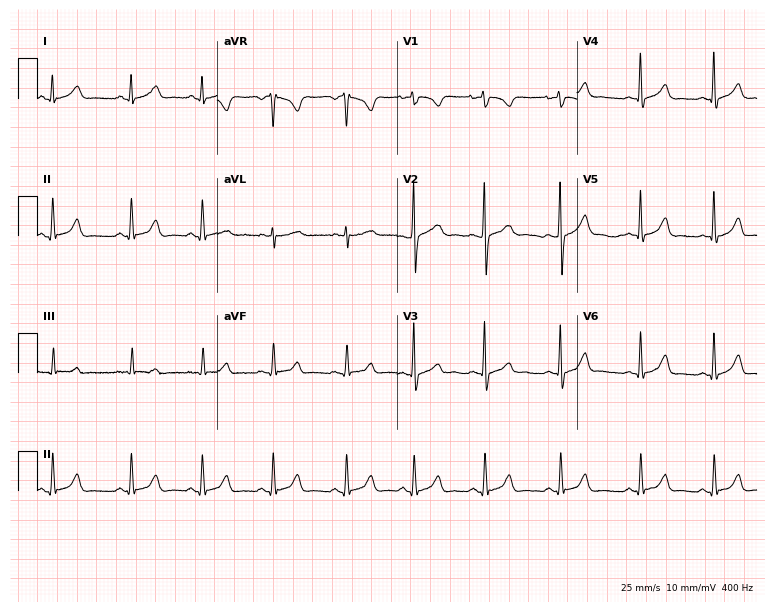
Standard 12-lead ECG recorded from a female, 24 years old (7.3-second recording at 400 Hz). None of these six findings is recorded: first-degree AV block, right bundle branch block, left bundle branch block, sinus bradycardia, atrial fibrillation, sinus tachycardia. Other findings, if any, are not listed.